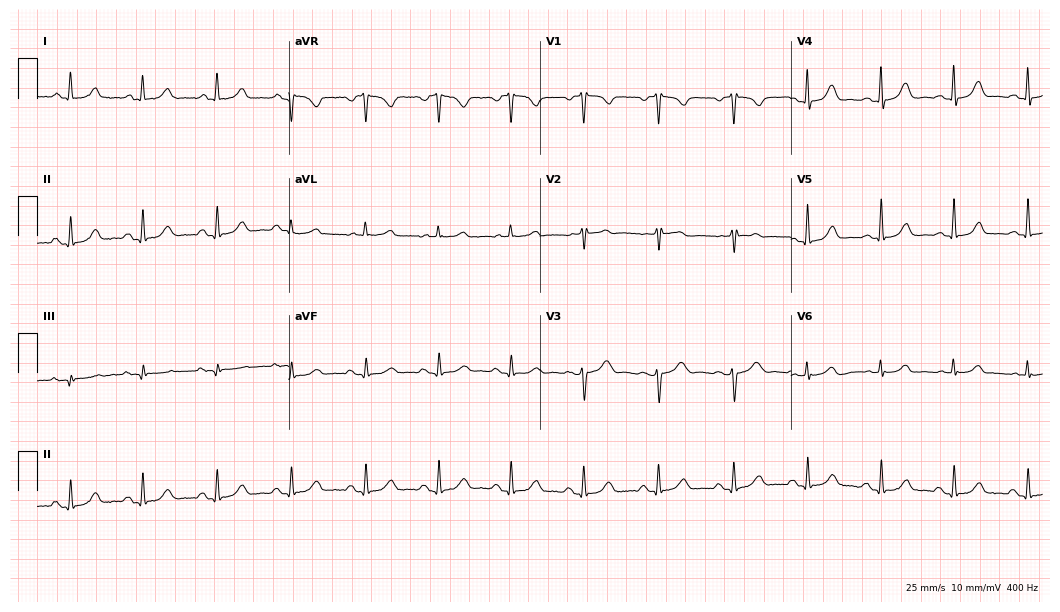
12-lead ECG from a 60-year-old female (10.2-second recording at 400 Hz). Recorded interpretation: within normal limits.